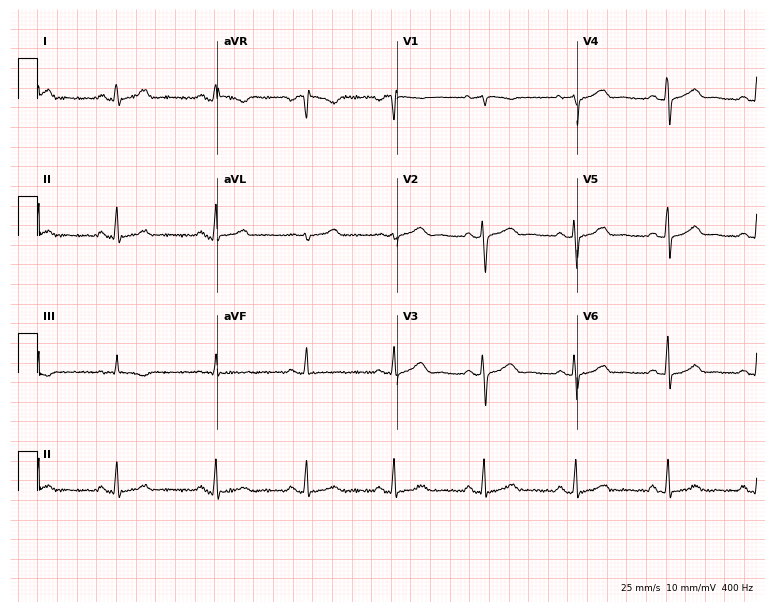
12-lead ECG (7.3-second recording at 400 Hz) from a woman, 30 years old. Labelled as a normal ECG.